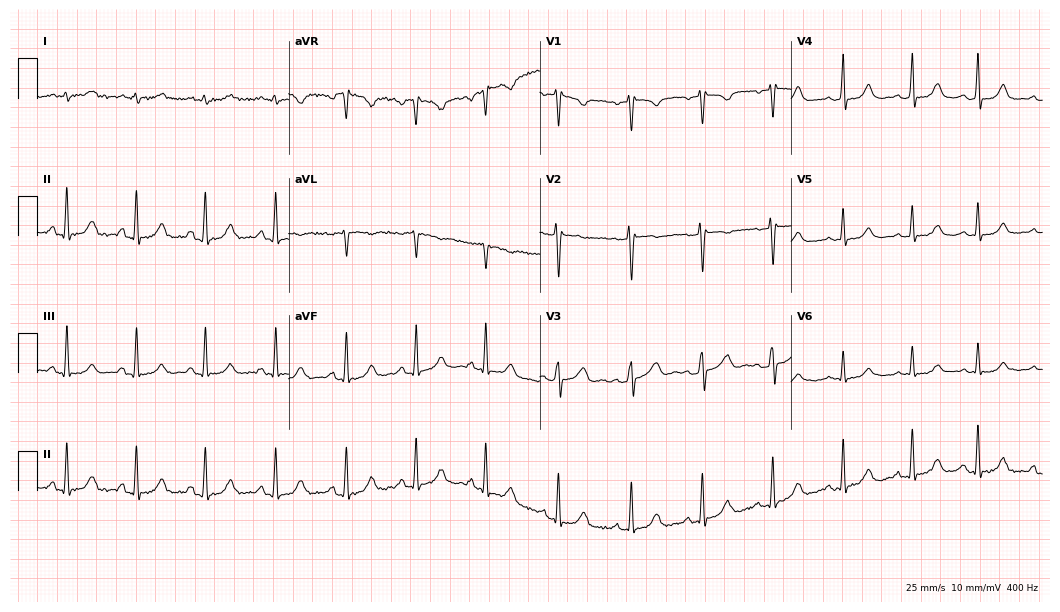
Resting 12-lead electrocardiogram (10.2-second recording at 400 Hz). Patient: a female, 31 years old. None of these six findings is recorded: first-degree AV block, right bundle branch block, left bundle branch block, sinus bradycardia, atrial fibrillation, sinus tachycardia. Only these six findings were labelled.